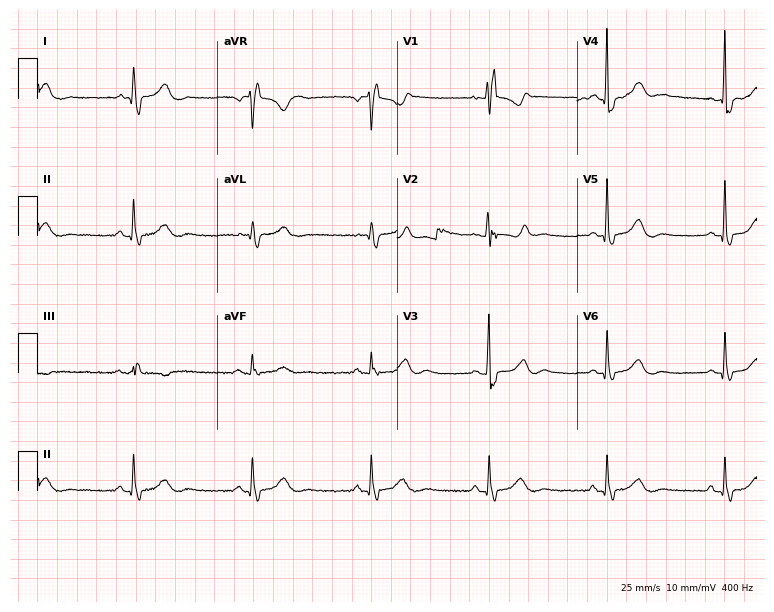
Resting 12-lead electrocardiogram. Patient: a 60-year-old woman. The tracing shows right bundle branch block.